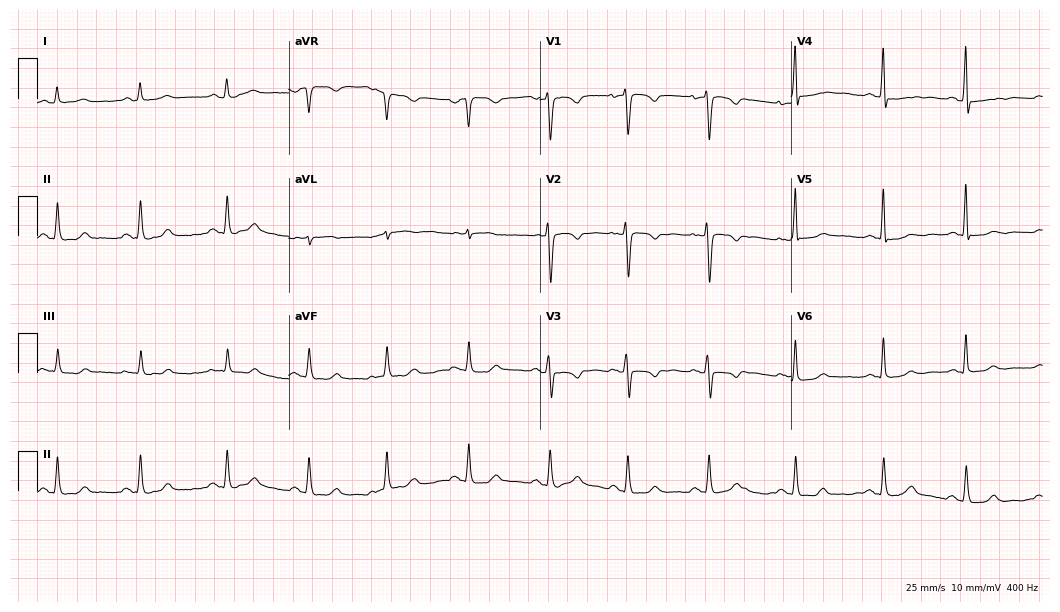
ECG — a 47-year-old woman. Screened for six findings — first-degree AV block, right bundle branch block, left bundle branch block, sinus bradycardia, atrial fibrillation, sinus tachycardia — none is recorded. Findings outside these six are not listed.